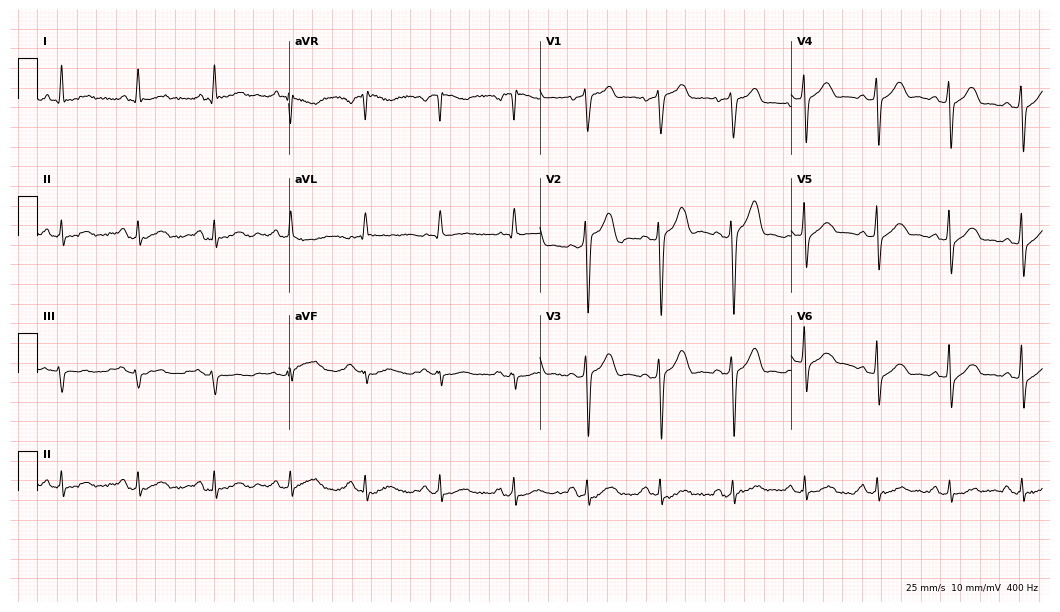
12-lead ECG (10.2-second recording at 400 Hz) from a male, 71 years old. Labelled as a normal ECG.